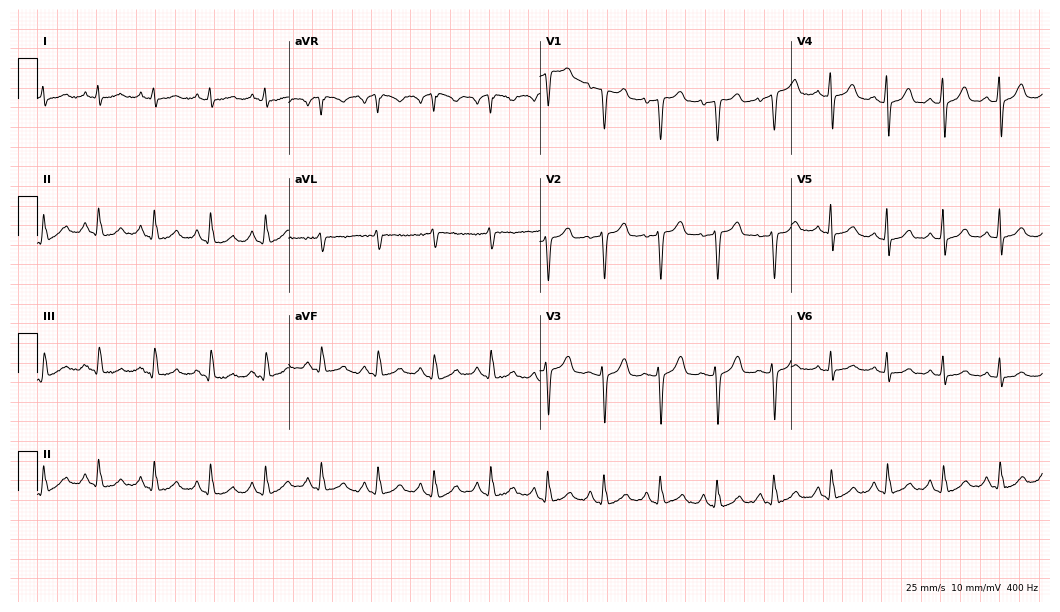
Standard 12-lead ECG recorded from a 57-year-old woman. None of these six findings is recorded: first-degree AV block, right bundle branch block, left bundle branch block, sinus bradycardia, atrial fibrillation, sinus tachycardia.